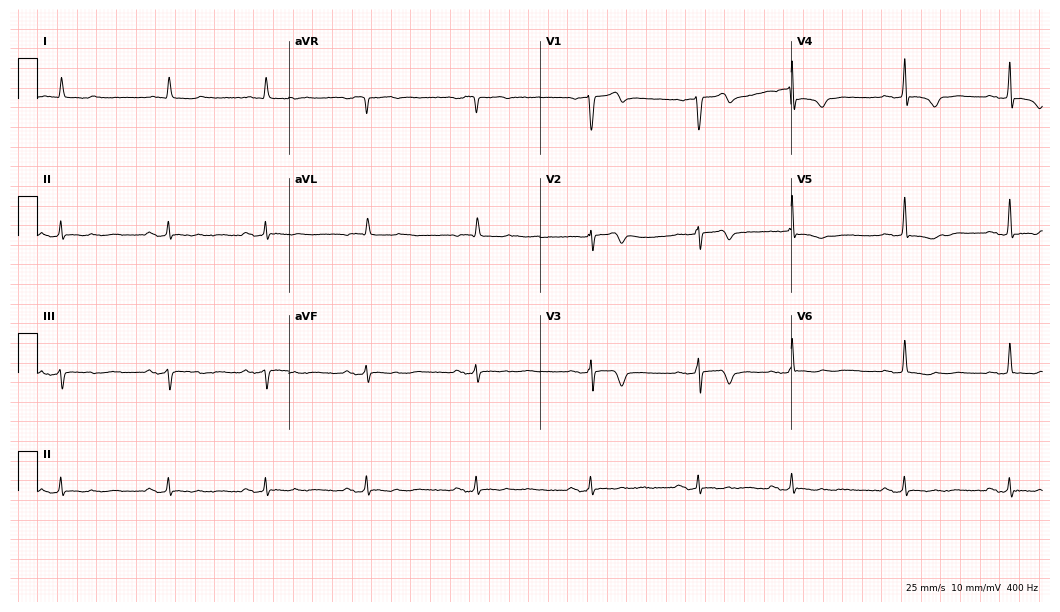
Standard 12-lead ECG recorded from an 80-year-old male. None of these six findings is recorded: first-degree AV block, right bundle branch block (RBBB), left bundle branch block (LBBB), sinus bradycardia, atrial fibrillation (AF), sinus tachycardia. Findings outside these six are not listed.